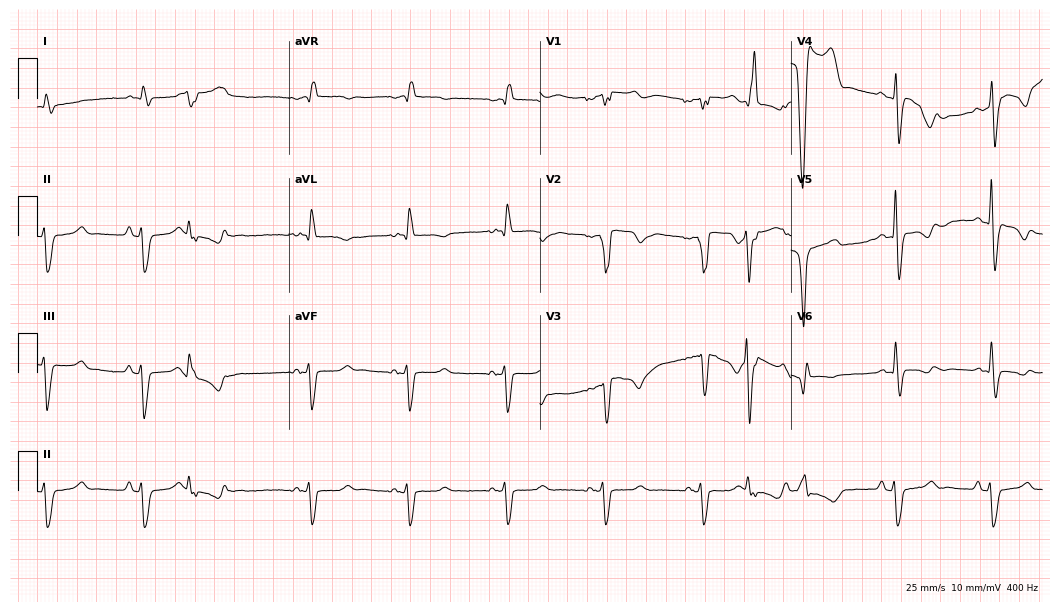
Standard 12-lead ECG recorded from a female patient, 85 years old. The tracing shows right bundle branch block.